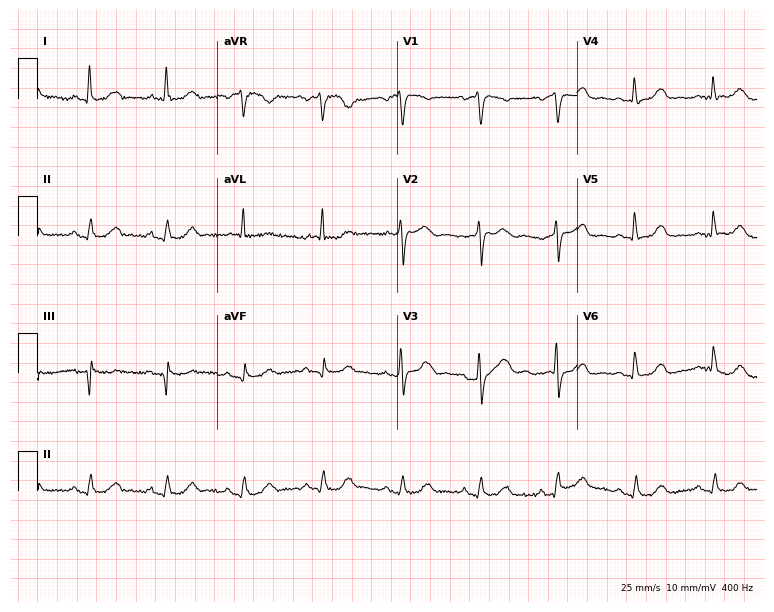
ECG (7.3-second recording at 400 Hz) — a female patient, 63 years old. Labelled as a normal ECG.